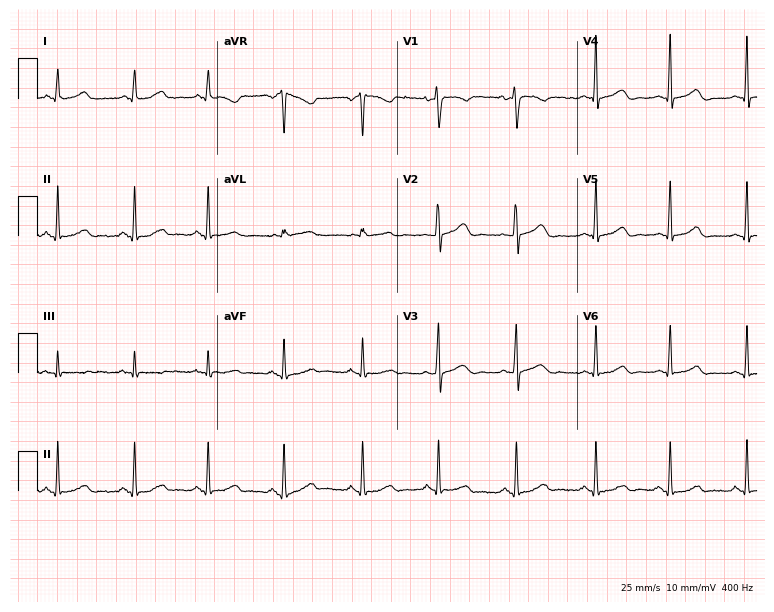
12-lead ECG from a 40-year-old woman. Labelled as a normal ECG.